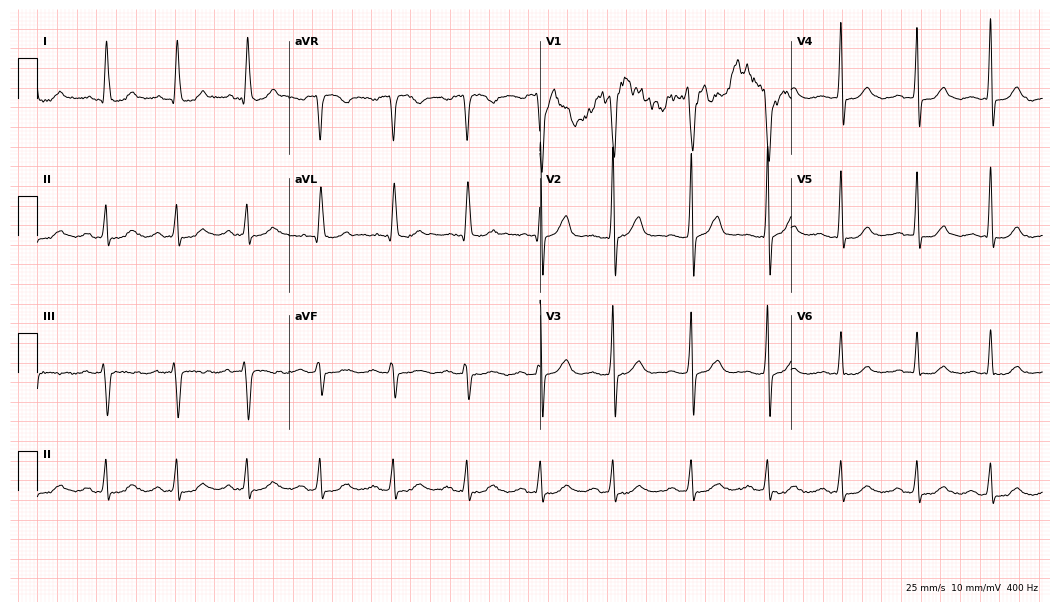
Standard 12-lead ECG recorded from a 68-year-old female patient (10.2-second recording at 400 Hz). None of these six findings is recorded: first-degree AV block, right bundle branch block (RBBB), left bundle branch block (LBBB), sinus bradycardia, atrial fibrillation (AF), sinus tachycardia.